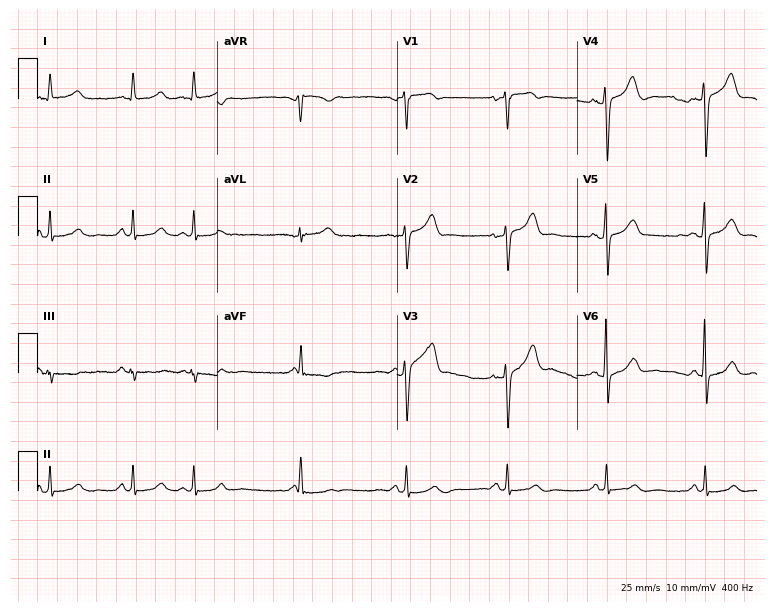
Standard 12-lead ECG recorded from a 59-year-old male patient (7.3-second recording at 400 Hz). None of these six findings is recorded: first-degree AV block, right bundle branch block, left bundle branch block, sinus bradycardia, atrial fibrillation, sinus tachycardia. Findings outside these six are not listed.